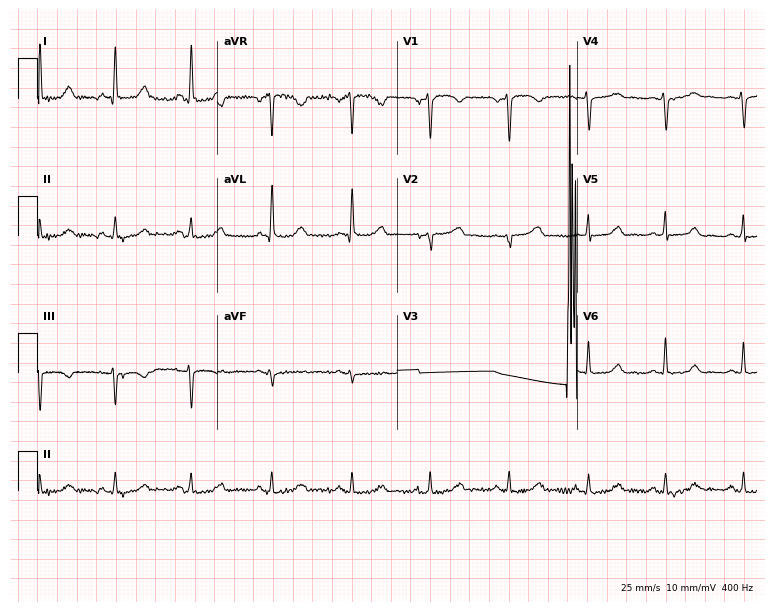
Electrocardiogram (7.3-second recording at 400 Hz), a 41-year-old female. Of the six screened findings (first-degree AV block, right bundle branch block, left bundle branch block, sinus bradycardia, atrial fibrillation, sinus tachycardia), none is recorded.